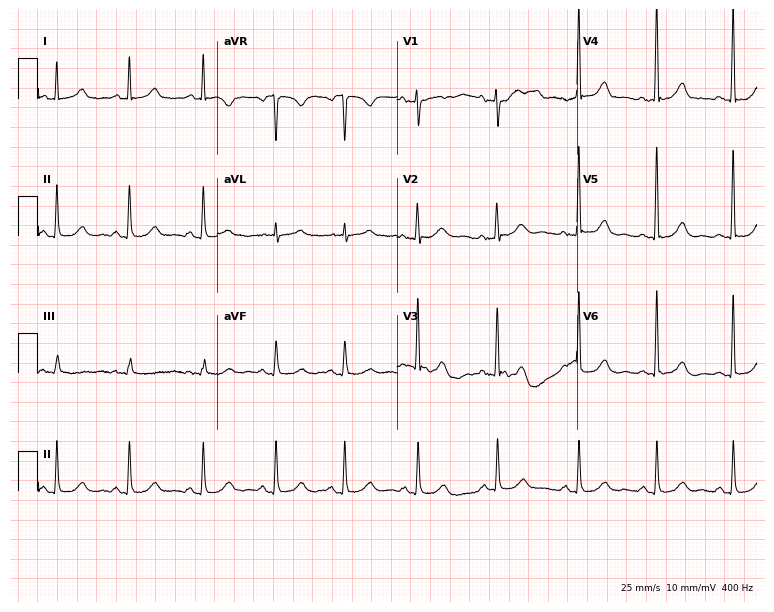
ECG — a female patient, 35 years old. Labelled as a normal ECG.